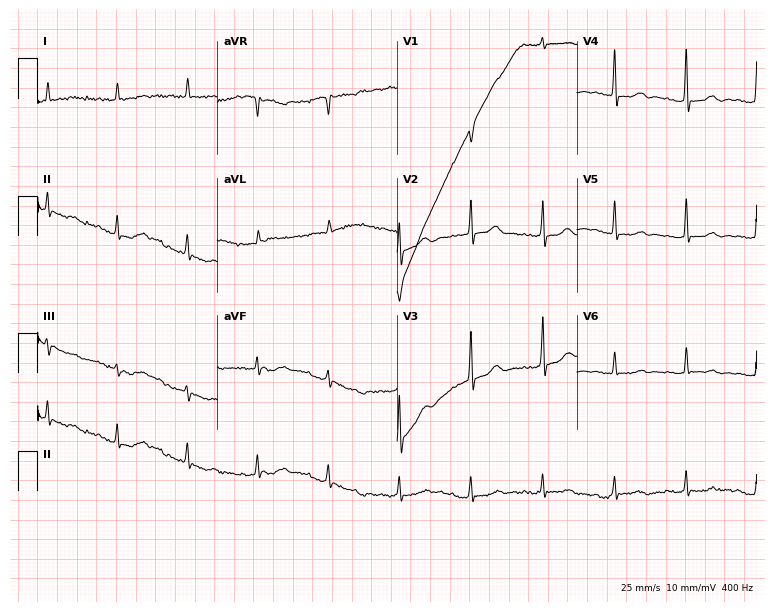
Standard 12-lead ECG recorded from a woman, 81 years old. None of these six findings is recorded: first-degree AV block, right bundle branch block, left bundle branch block, sinus bradycardia, atrial fibrillation, sinus tachycardia.